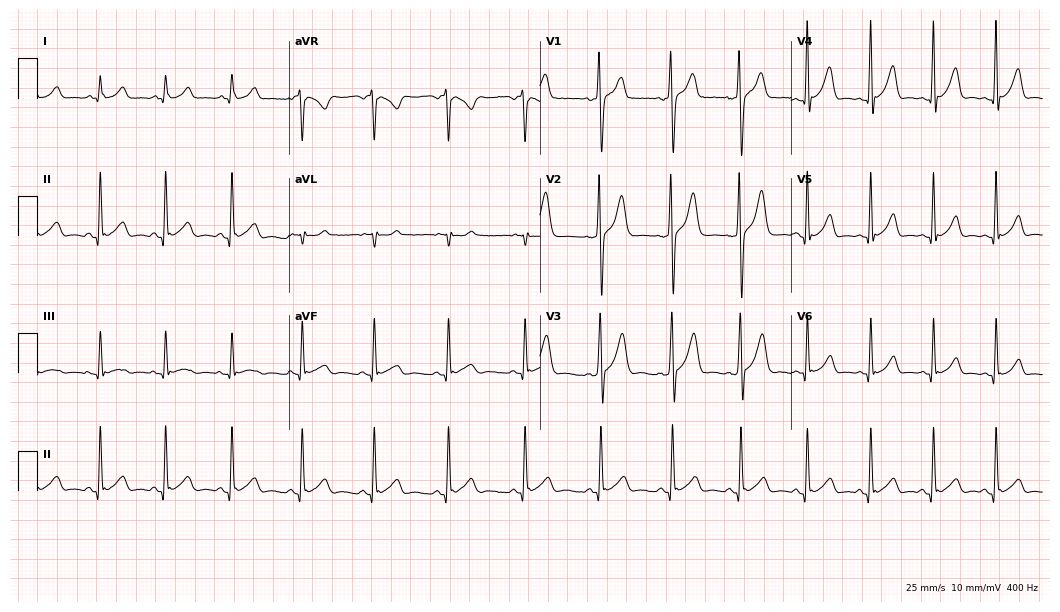
12-lead ECG (10.2-second recording at 400 Hz) from a male, 25 years old. Labelled as a normal ECG.